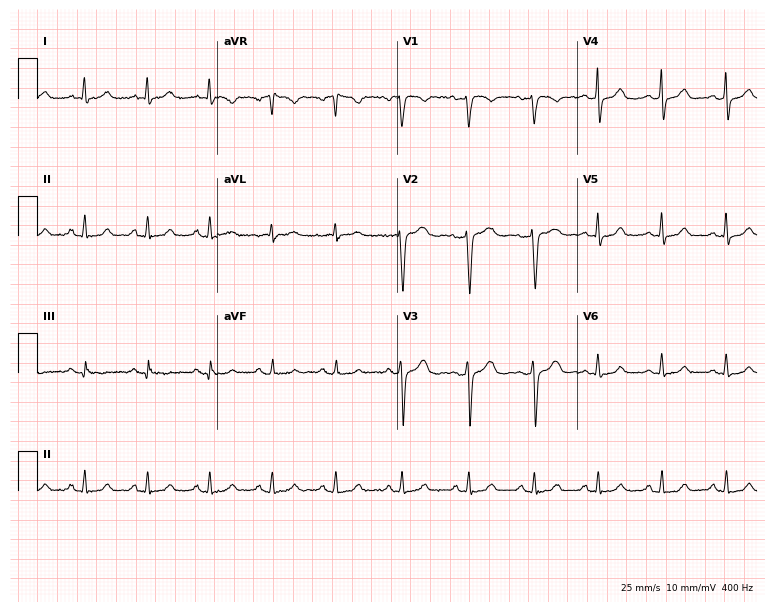
ECG (7.3-second recording at 400 Hz) — a female, 38 years old. Labelled as a normal ECG.